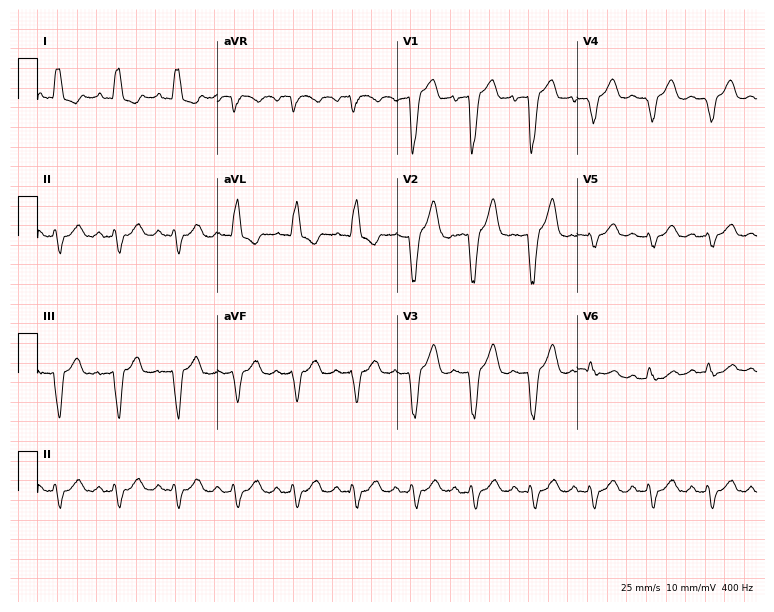
Electrocardiogram (7.3-second recording at 400 Hz), a 75-year-old woman. Of the six screened findings (first-degree AV block, right bundle branch block, left bundle branch block, sinus bradycardia, atrial fibrillation, sinus tachycardia), none is recorded.